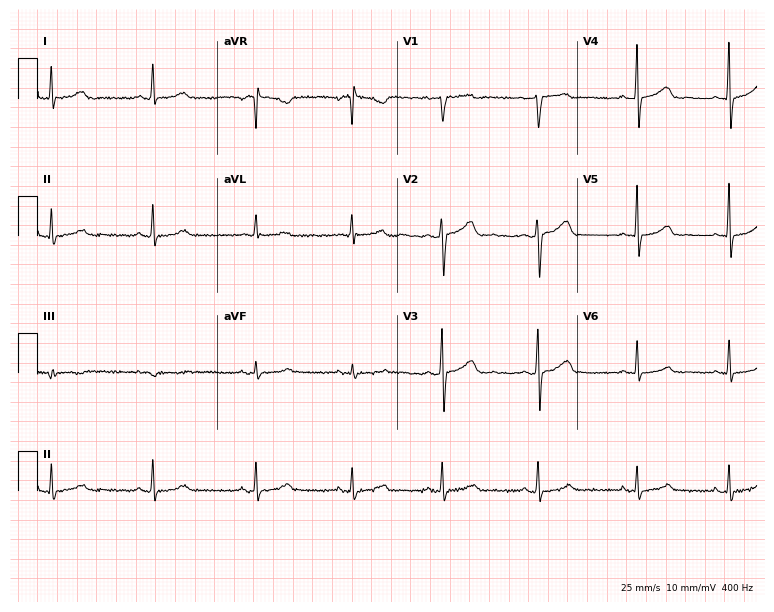
12-lead ECG from a female patient, 31 years old. Screened for six findings — first-degree AV block, right bundle branch block, left bundle branch block, sinus bradycardia, atrial fibrillation, sinus tachycardia — none is recorded.